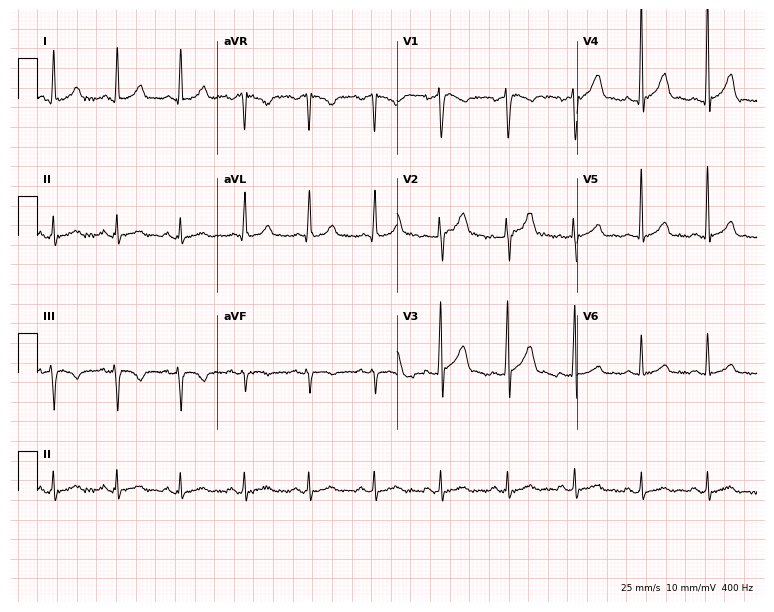
ECG (7.3-second recording at 400 Hz) — a man, 51 years old. Screened for six findings — first-degree AV block, right bundle branch block, left bundle branch block, sinus bradycardia, atrial fibrillation, sinus tachycardia — none is recorded.